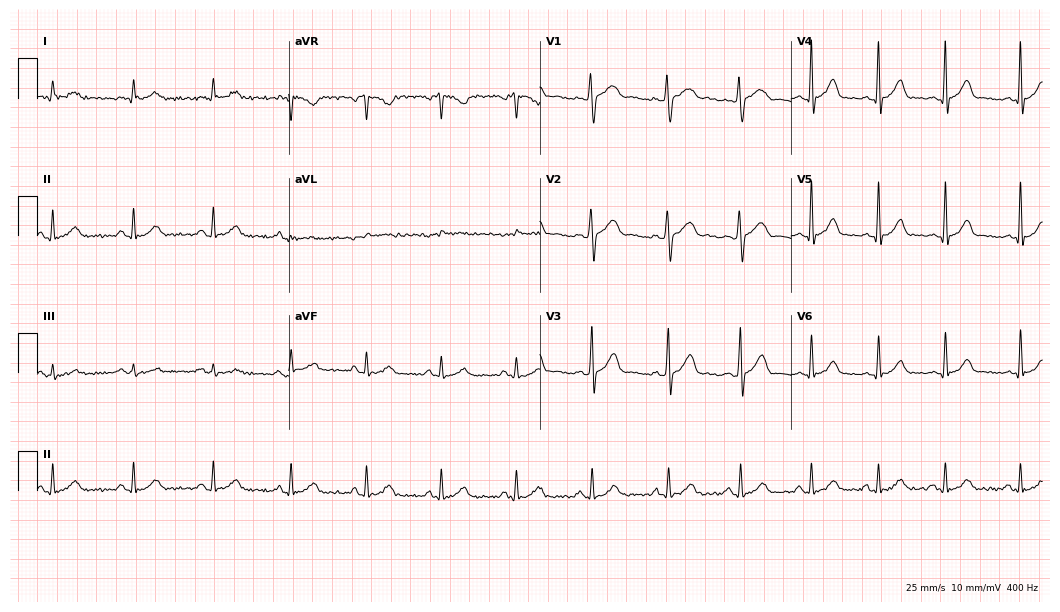
12-lead ECG (10.2-second recording at 400 Hz) from a male, 52 years old. Labelled as a normal ECG.